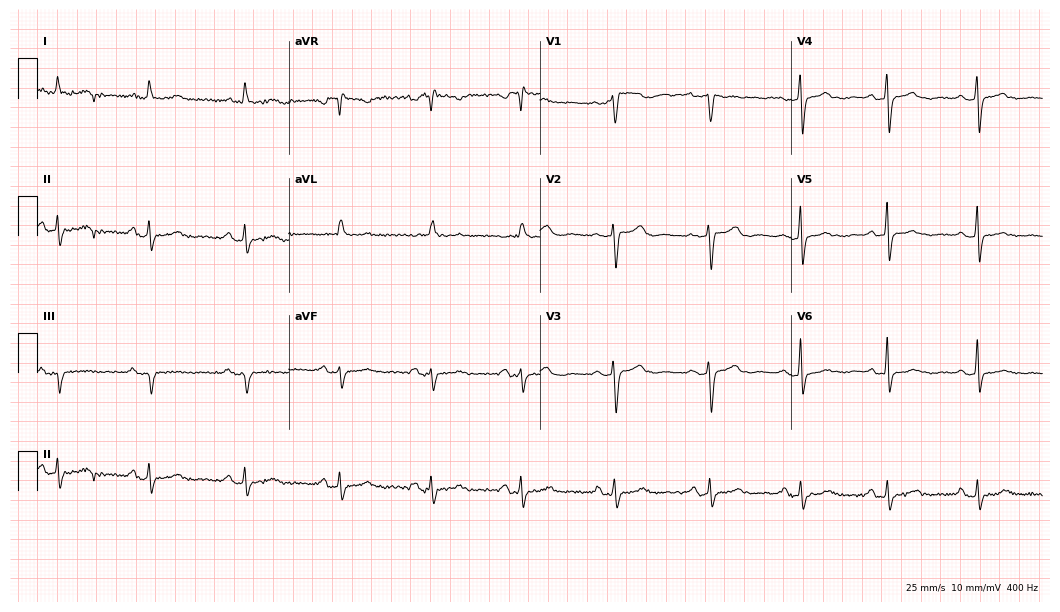
Standard 12-lead ECG recorded from a 51-year-old female. Read as a normal ECG.